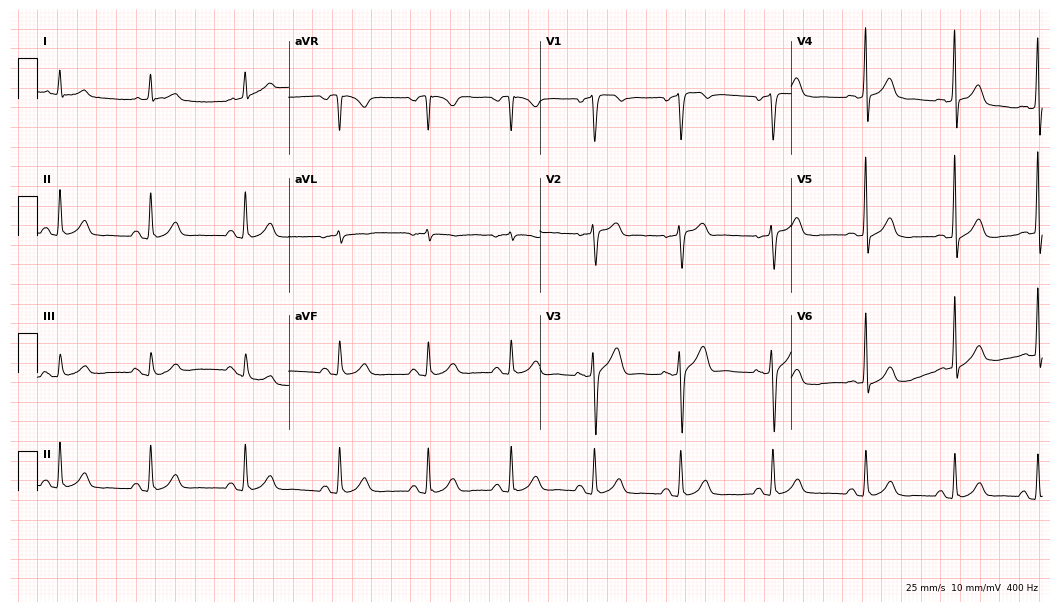
Electrocardiogram, a 53-year-old male patient. Overall reading on record: normal ECG.